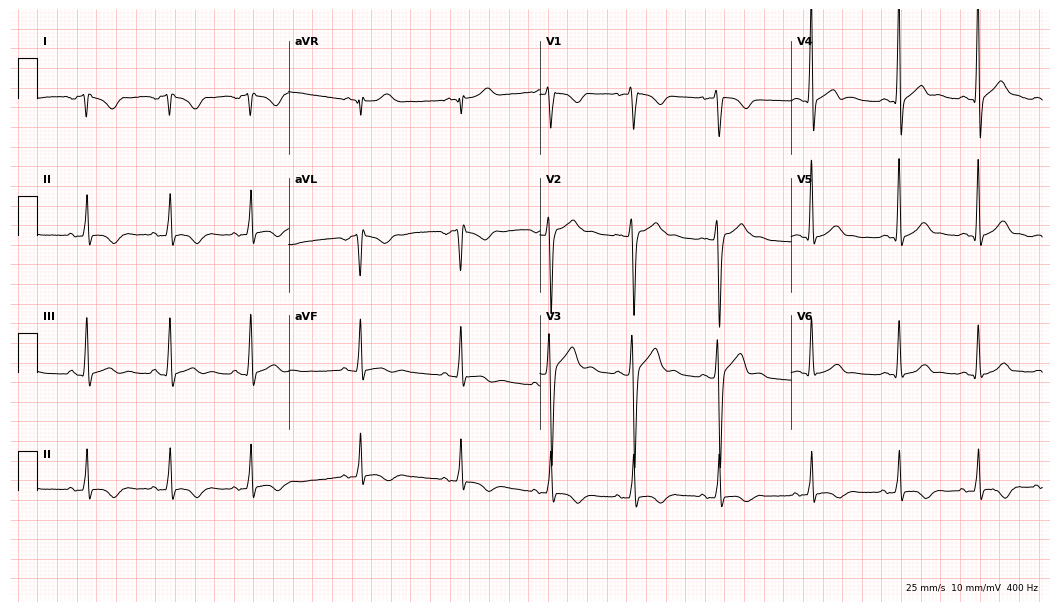
Resting 12-lead electrocardiogram (10.2-second recording at 400 Hz). Patient: a male, 21 years old. None of these six findings is recorded: first-degree AV block, right bundle branch block, left bundle branch block, sinus bradycardia, atrial fibrillation, sinus tachycardia. Findings outside these six are not listed.